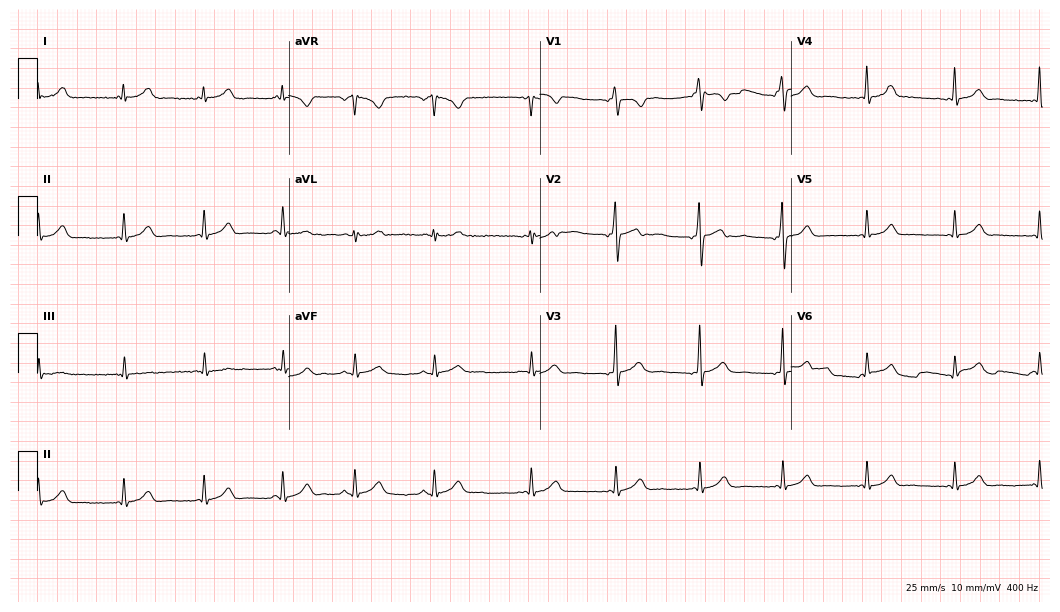
12-lead ECG from a woman, 22 years old (10.2-second recording at 400 Hz). Recorded interpretation: within normal limits.